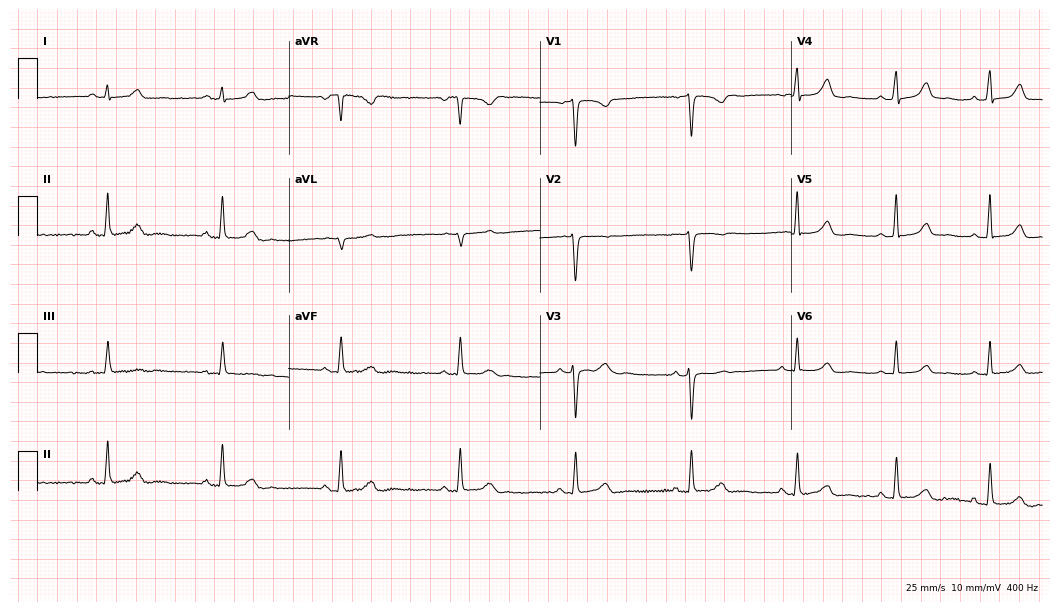
Electrocardiogram, a 43-year-old woman. Overall reading on record: normal ECG.